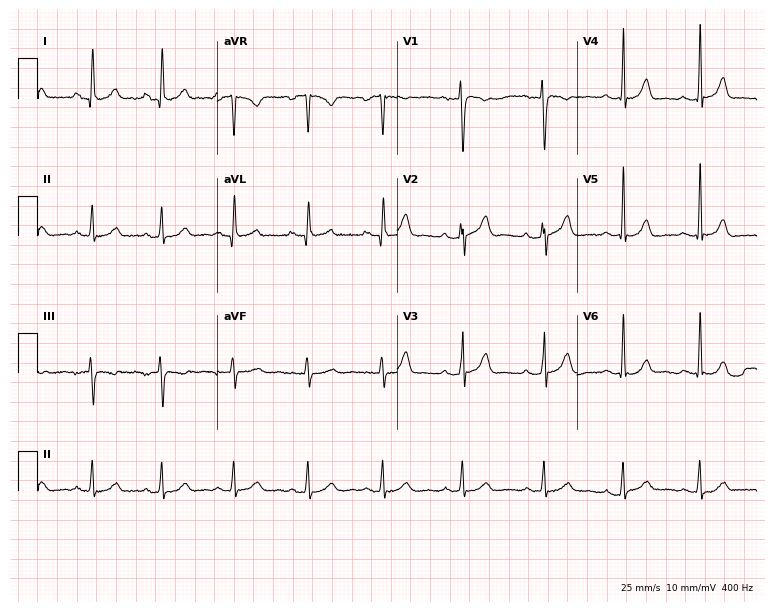
12-lead ECG (7.3-second recording at 400 Hz) from a woman, 34 years old. Screened for six findings — first-degree AV block, right bundle branch block (RBBB), left bundle branch block (LBBB), sinus bradycardia, atrial fibrillation (AF), sinus tachycardia — none is recorded.